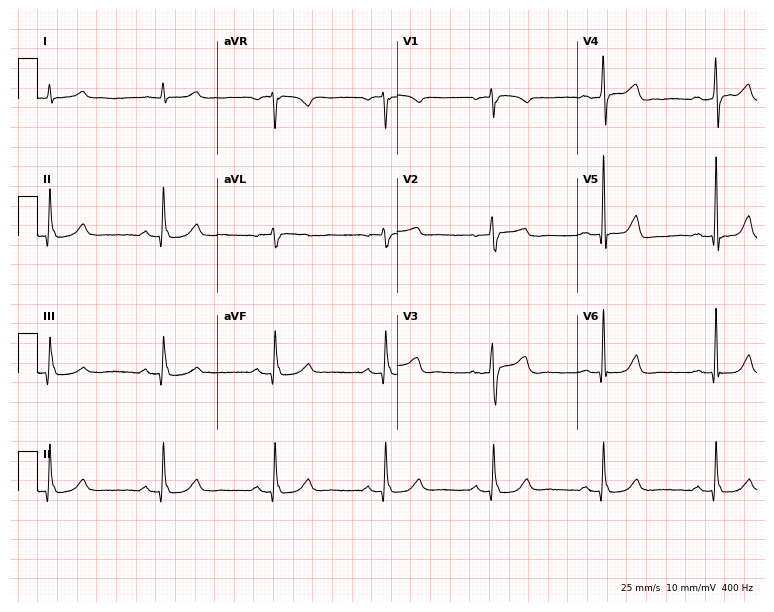
ECG — a 73-year-old man. Screened for six findings — first-degree AV block, right bundle branch block (RBBB), left bundle branch block (LBBB), sinus bradycardia, atrial fibrillation (AF), sinus tachycardia — none is recorded.